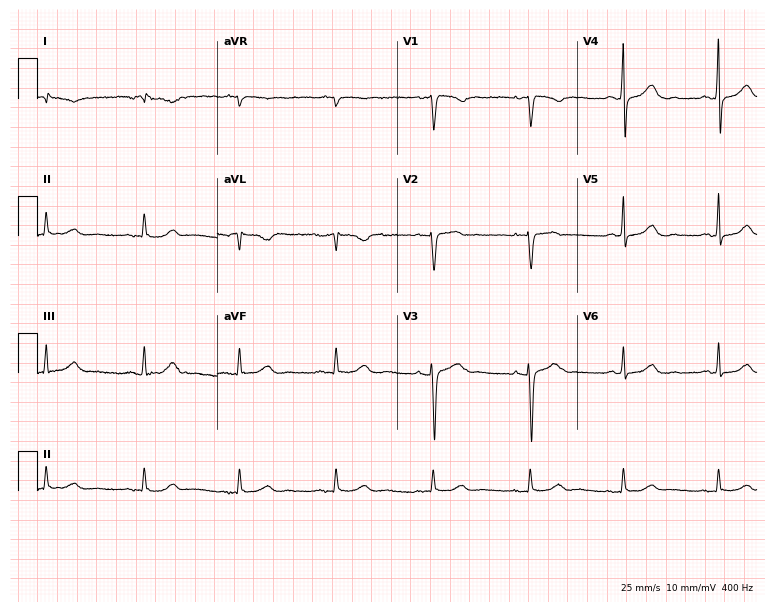
Resting 12-lead electrocardiogram (7.3-second recording at 400 Hz). Patient: a female, 60 years old. None of these six findings is recorded: first-degree AV block, right bundle branch block (RBBB), left bundle branch block (LBBB), sinus bradycardia, atrial fibrillation (AF), sinus tachycardia.